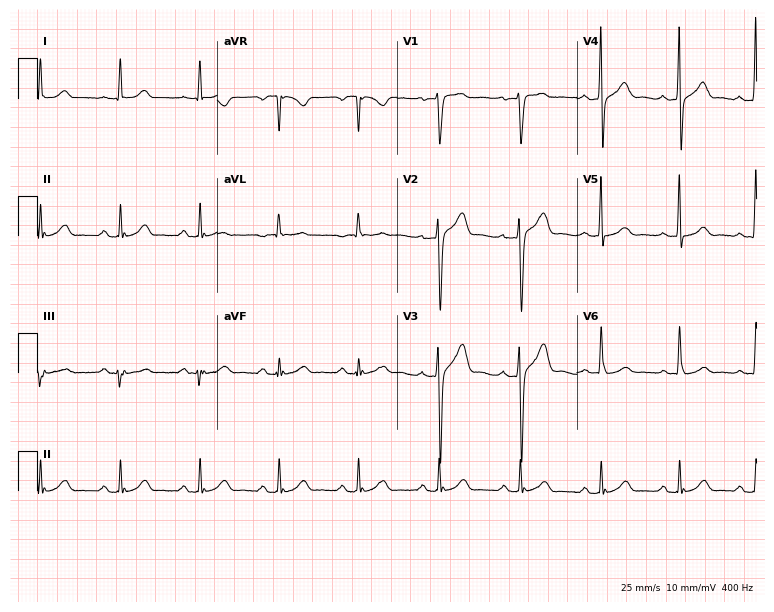
Resting 12-lead electrocardiogram. Patient: a 42-year-old male. Read as a normal ECG.